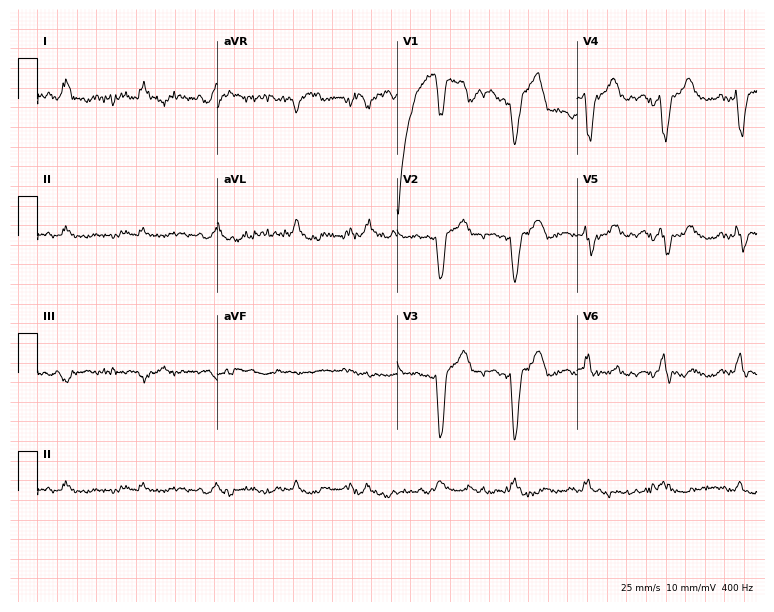
12-lead ECG from an 80-year-old woman. Findings include left bundle branch block (LBBB).